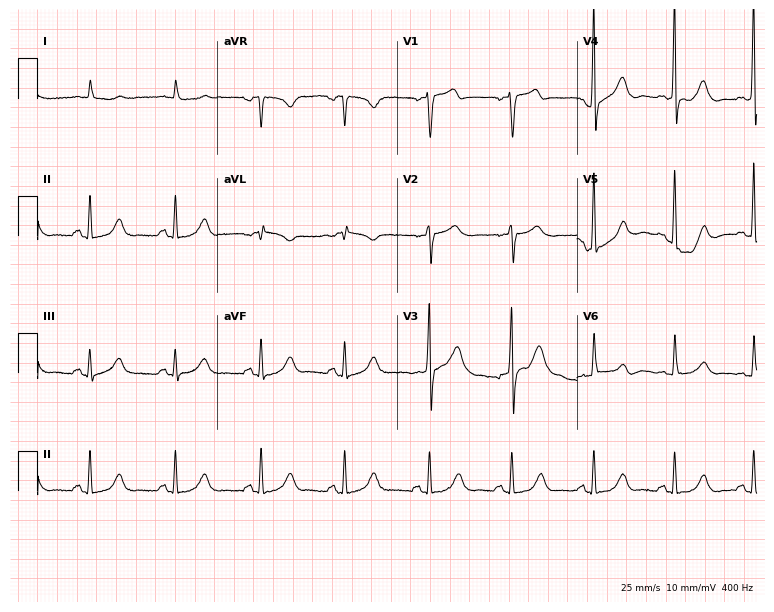
12-lead ECG from a male, 69 years old. Labelled as a normal ECG.